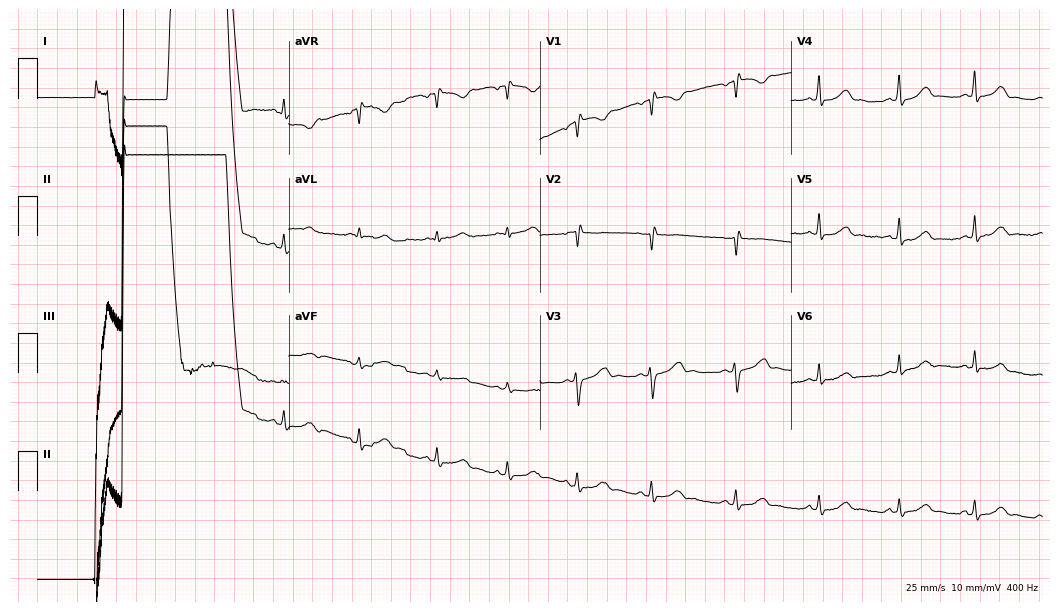
12-lead ECG from a female, 20 years old. No first-degree AV block, right bundle branch block, left bundle branch block, sinus bradycardia, atrial fibrillation or sinus tachycardia recorded for this tracing. Only these six findings were labelled.